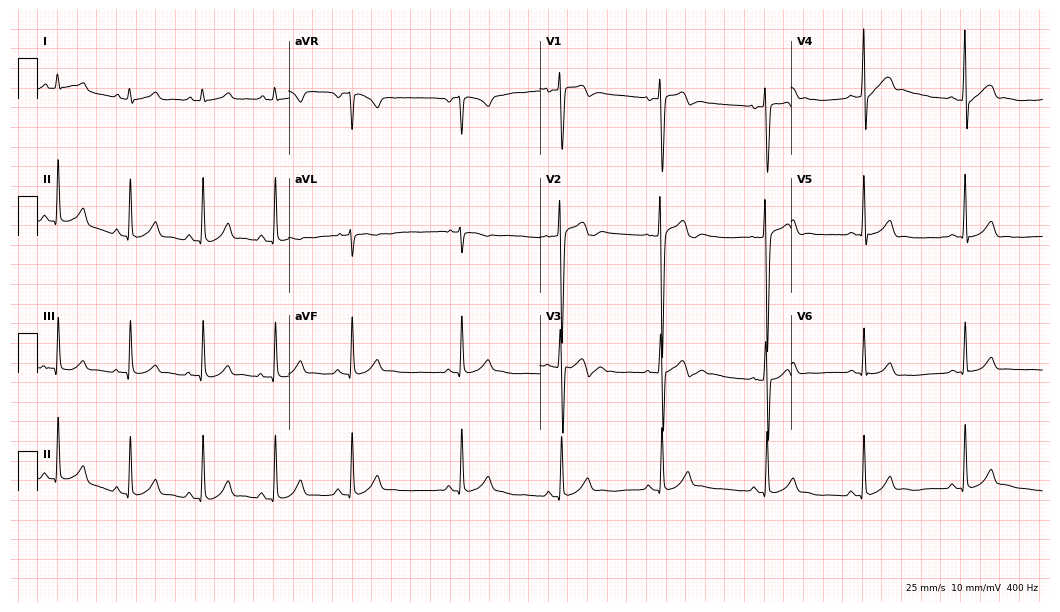
Electrocardiogram, a male patient, 17 years old. Overall reading on record: normal ECG.